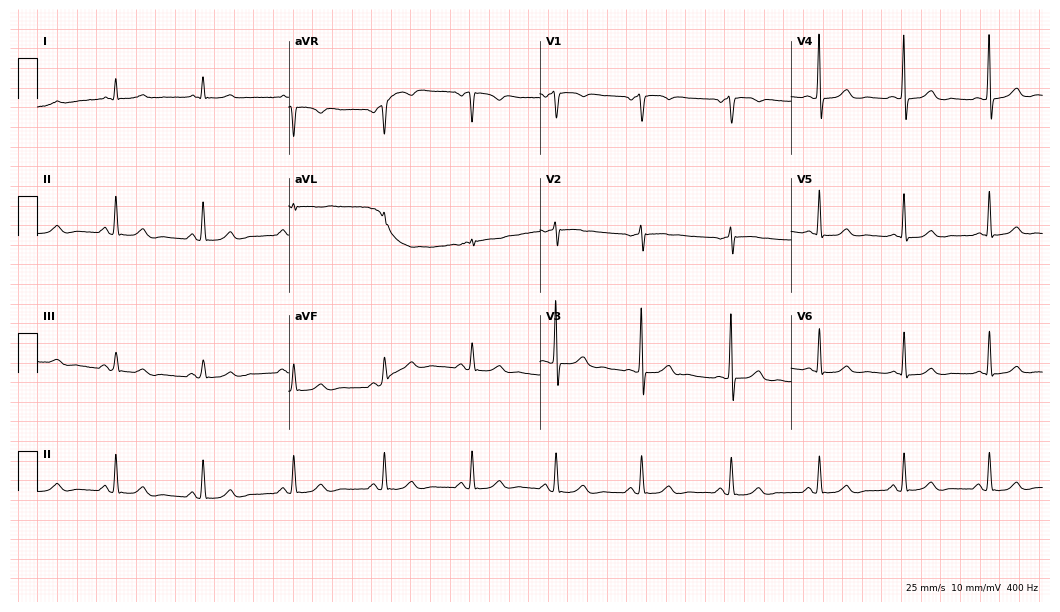
Electrocardiogram, a 68-year-old man. Of the six screened findings (first-degree AV block, right bundle branch block (RBBB), left bundle branch block (LBBB), sinus bradycardia, atrial fibrillation (AF), sinus tachycardia), none is recorded. Other findings, if any, are not listed.